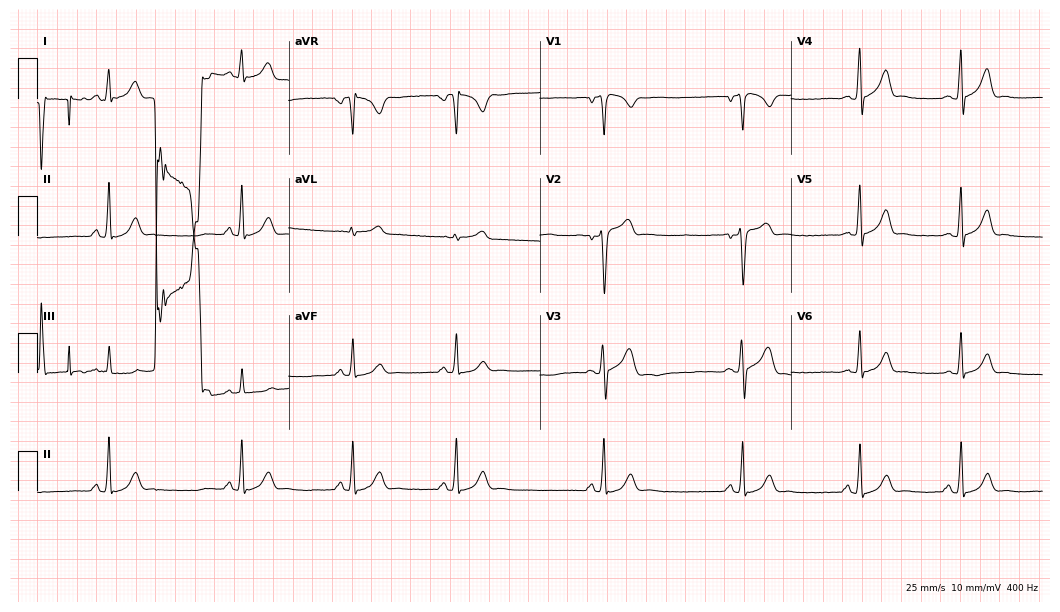
Standard 12-lead ECG recorded from a man, 27 years old (10.2-second recording at 400 Hz). Read as a normal ECG.